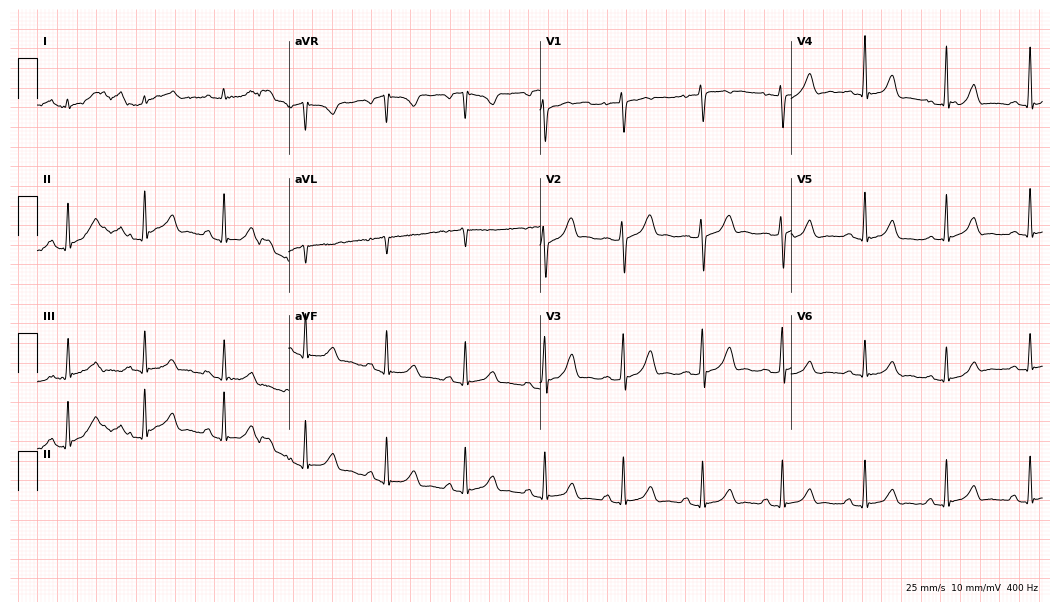
Resting 12-lead electrocardiogram (10.2-second recording at 400 Hz). Patient: a 37-year-old woman. Read as a normal ECG.